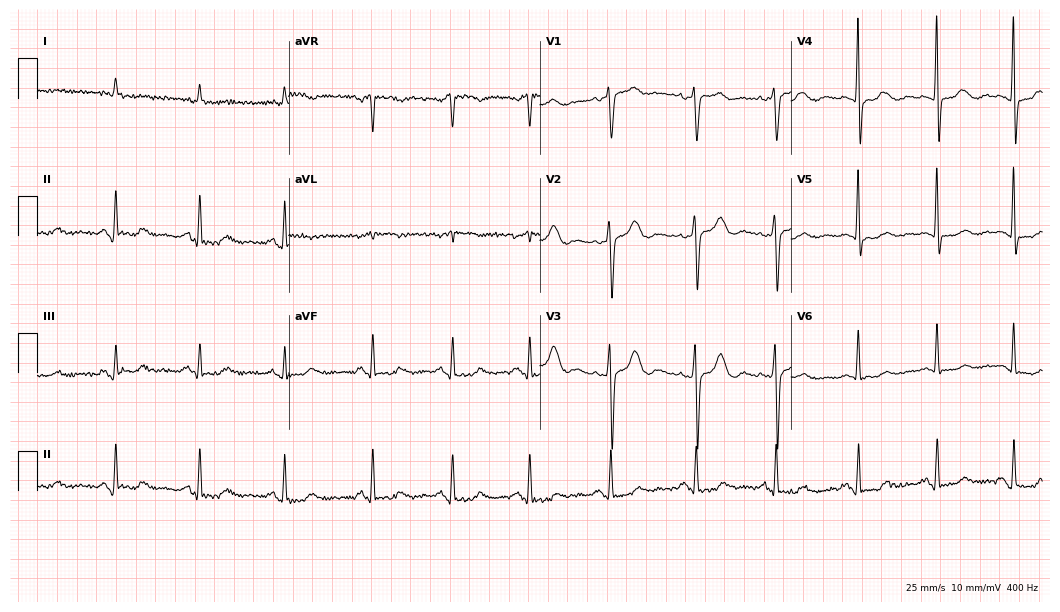
12-lead ECG (10.2-second recording at 400 Hz) from an 80-year-old female. Screened for six findings — first-degree AV block, right bundle branch block, left bundle branch block, sinus bradycardia, atrial fibrillation, sinus tachycardia — none is recorded. Findings outside these six are not listed.